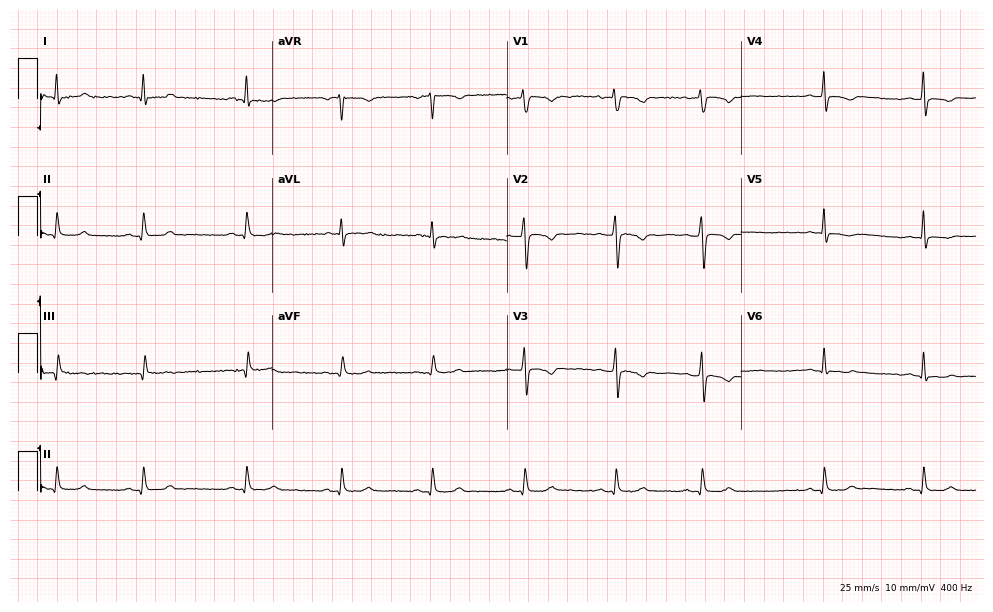
12-lead ECG from a female patient, 21 years old (9.6-second recording at 400 Hz). No first-degree AV block, right bundle branch block, left bundle branch block, sinus bradycardia, atrial fibrillation or sinus tachycardia recorded for this tracing.